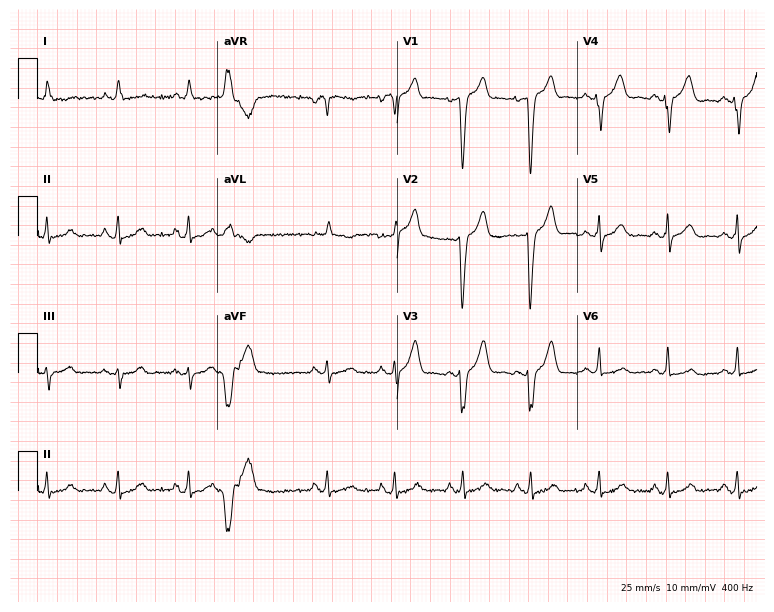
Resting 12-lead electrocardiogram. Patient: a male, 83 years old. Read as a normal ECG.